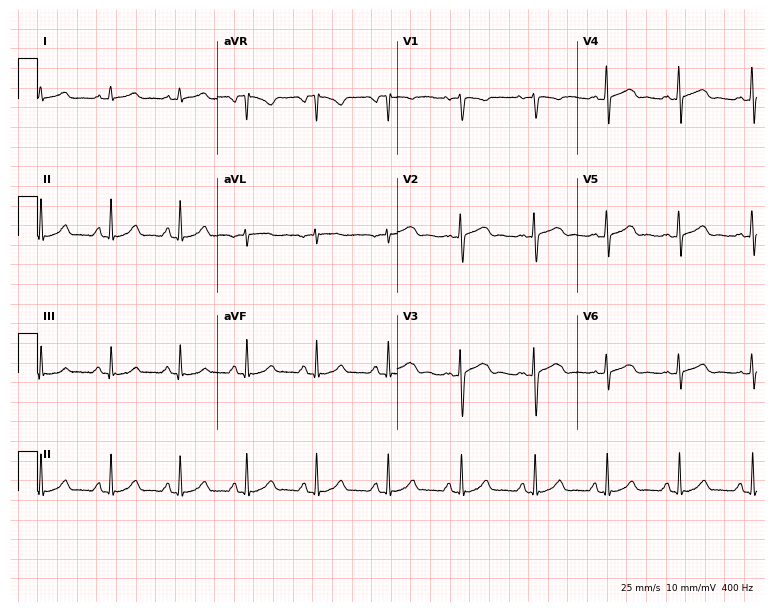
Electrocardiogram, a 60-year-old female. Overall reading on record: normal ECG.